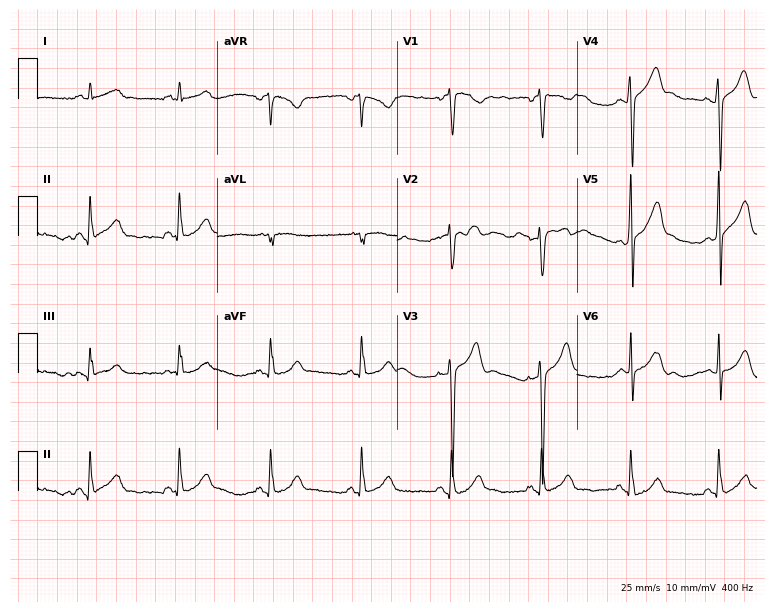
Electrocardiogram, a male, 44 years old. Overall reading on record: normal ECG.